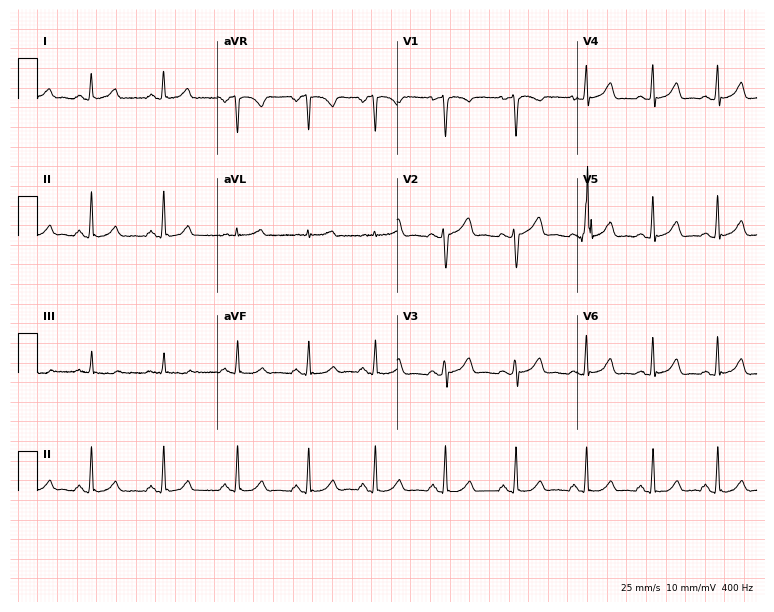
12-lead ECG from a woman, 35 years old (7.3-second recording at 400 Hz). Recorded interpretation: within normal limits.